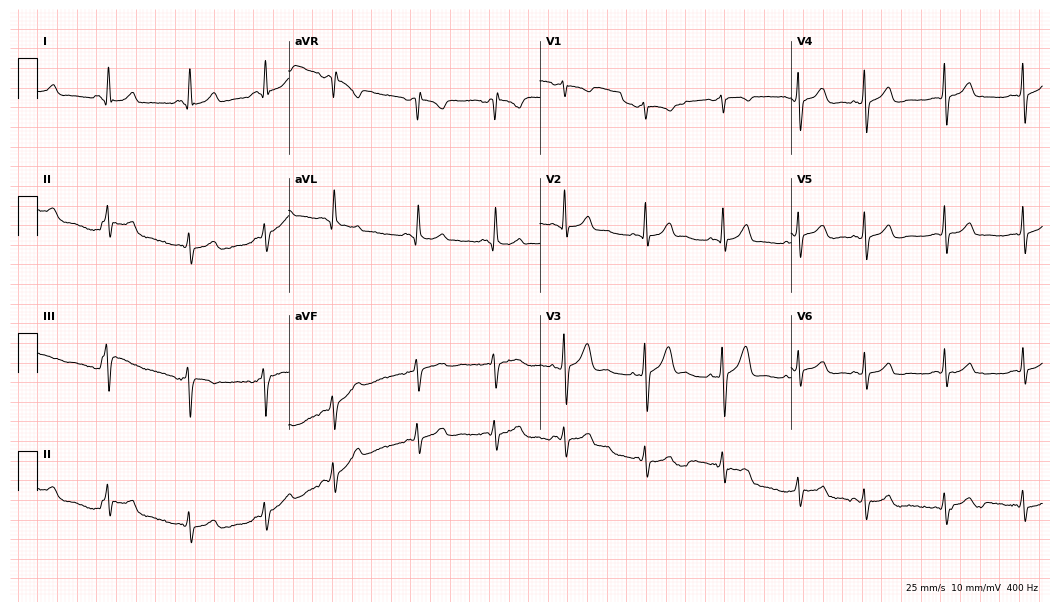
Resting 12-lead electrocardiogram (10.2-second recording at 400 Hz). Patient: a 38-year-old female. Read as a normal ECG.